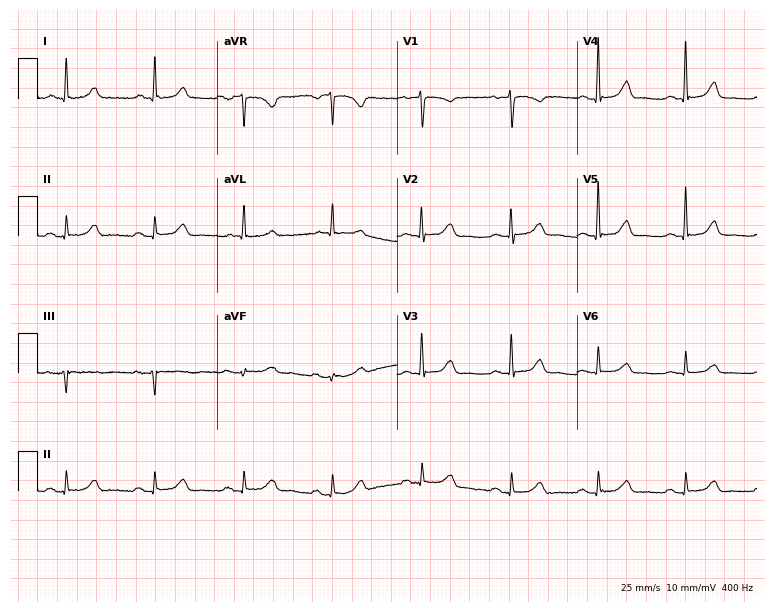
12-lead ECG from a woman, 25 years old (7.3-second recording at 400 Hz). Recorded interpretation: within normal limits.